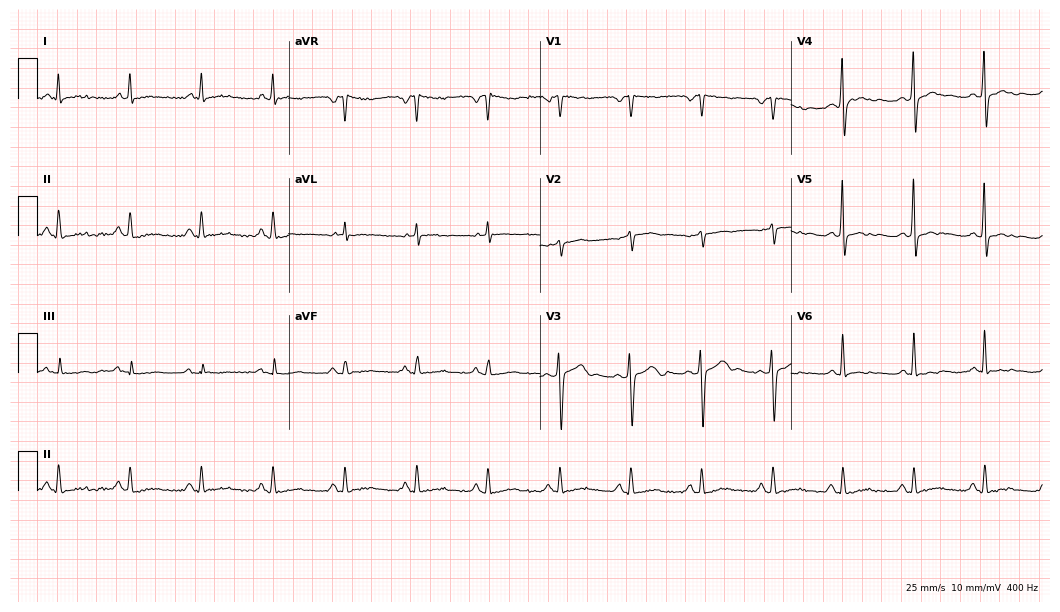
Resting 12-lead electrocardiogram (10.2-second recording at 400 Hz). Patient: a male, 68 years old. None of these six findings is recorded: first-degree AV block, right bundle branch block (RBBB), left bundle branch block (LBBB), sinus bradycardia, atrial fibrillation (AF), sinus tachycardia.